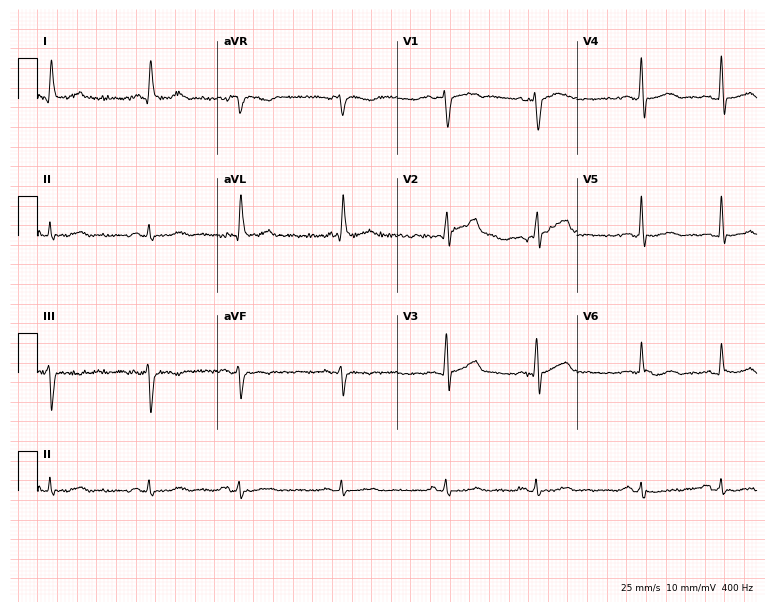
Electrocardiogram, a 77-year-old male patient. Of the six screened findings (first-degree AV block, right bundle branch block, left bundle branch block, sinus bradycardia, atrial fibrillation, sinus tachycardia), none is recorded.